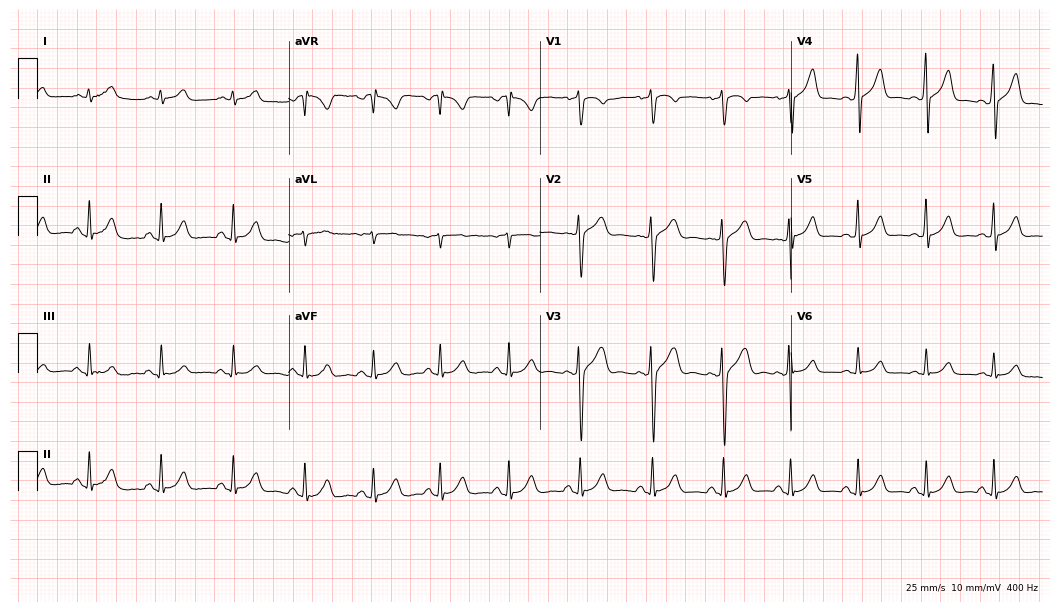
ECG (10.2-second recording at 400 Hz) — a male, 32 years old. Labelled as a normal ECG.